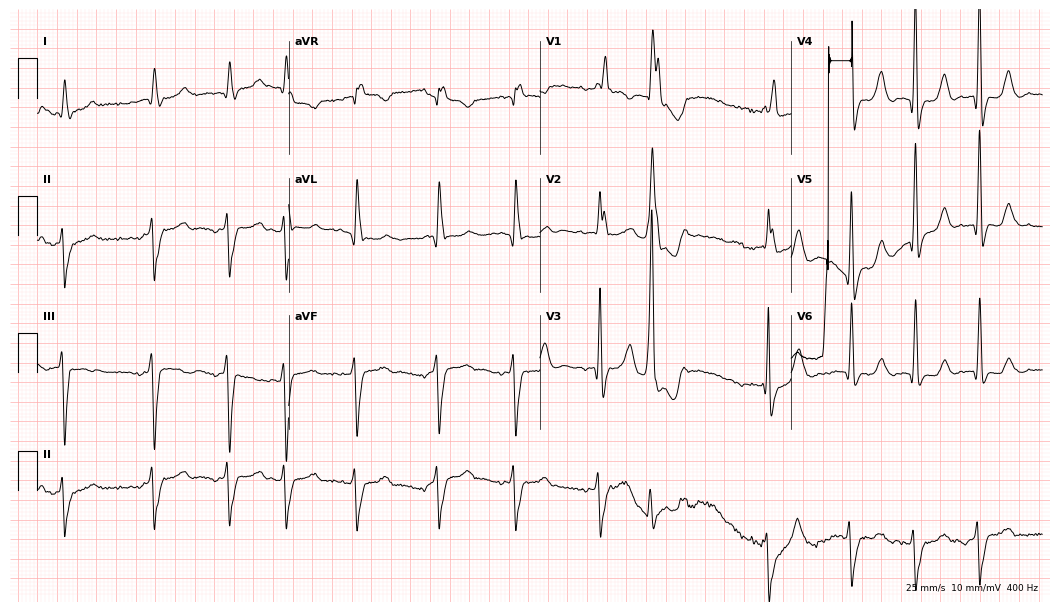
12-lead ECG from a man, 78 years old. Screened for six findings — first-degree AV block, right bundle branch block, left bundle branch block, sinus bradycardia, atrial fibrillation, sinus tachycardia — none is recorded. Other findings, if any, are not listed.